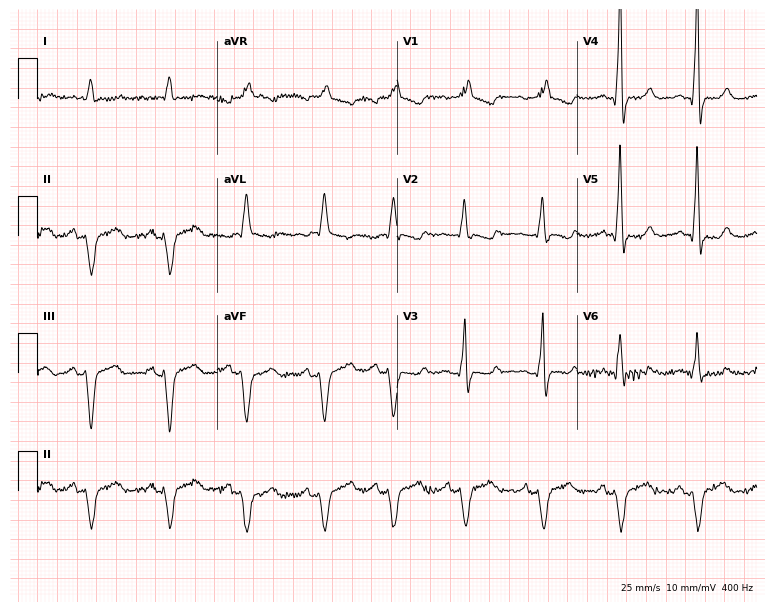
Standard 12-lead ECG recorded from a 65-year-old male patient (7.3-second recording at 400 Hz). The tracing shows right bundle branch block, left bundle branch block.